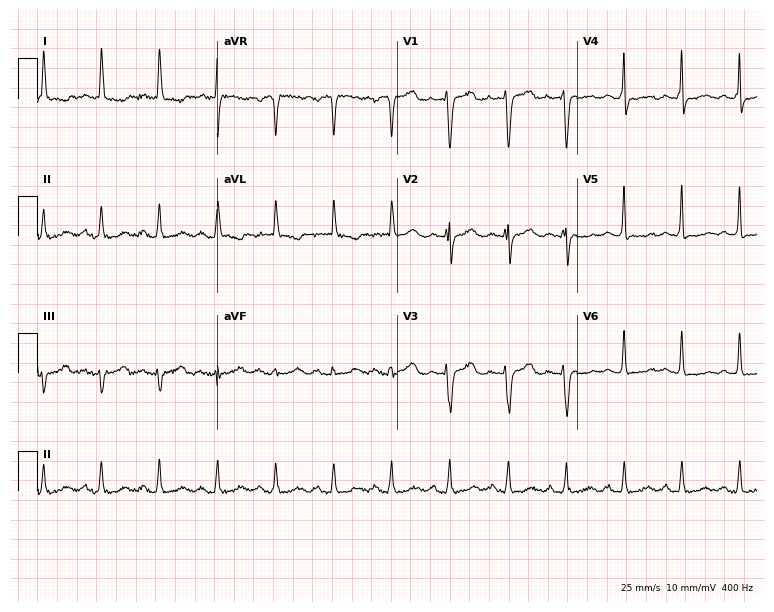
Resting 12-lead electrocardiogram (7.3-second recording at 400 Hz). Patient: a 73-year-old female. None of these six findings is recorded: first-degree AV block, right bundle branch block, left bundle branch block, sinus bradycardia, atrial fibrillation, sinus tachycardia. Findings outside these six are not listed.